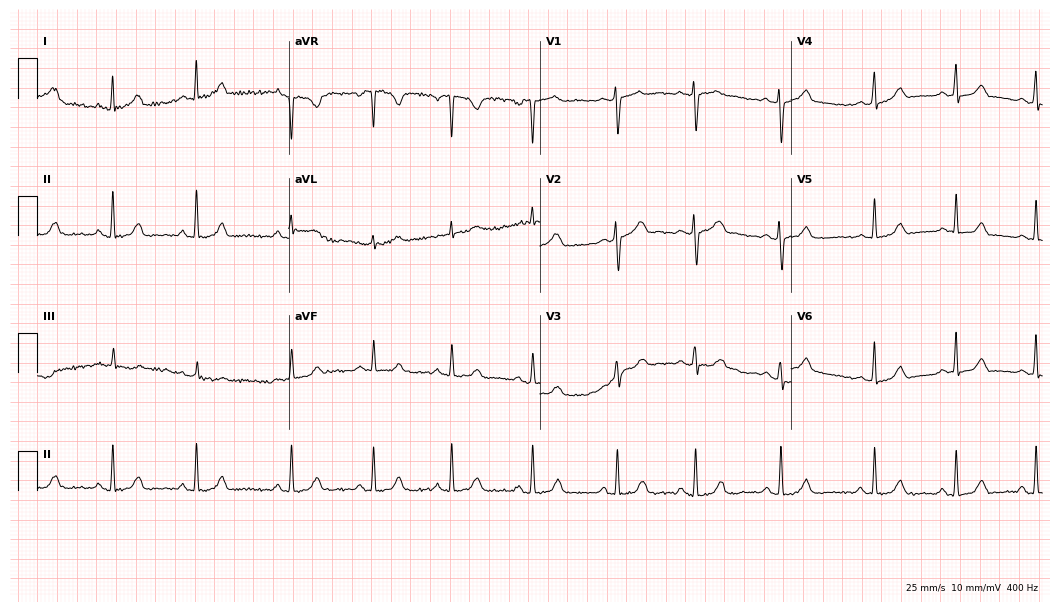
Electrocardiogram (10.2-second recording at 400 Hz), a female, 30 years old. Overall reading on record: normal ECG.